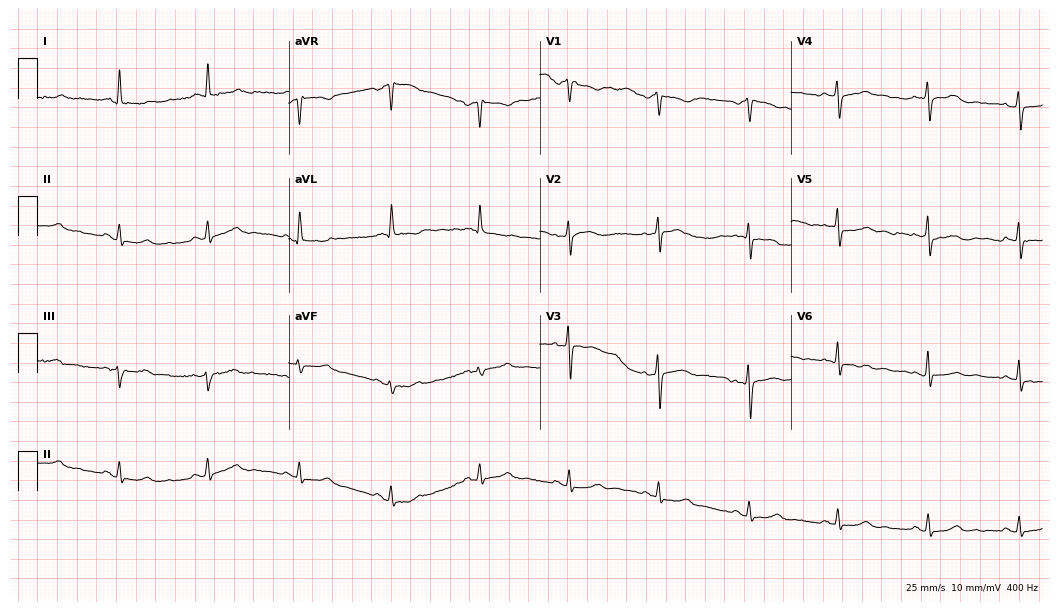
Electrocardiogram, a female patient, 53 years old. Of the six screened findings (first-degree AV block, right bundle branch block, left bundle branch block, sinus bradycardia, atrial fibrillation, sinus tachycardia), none is recorded.